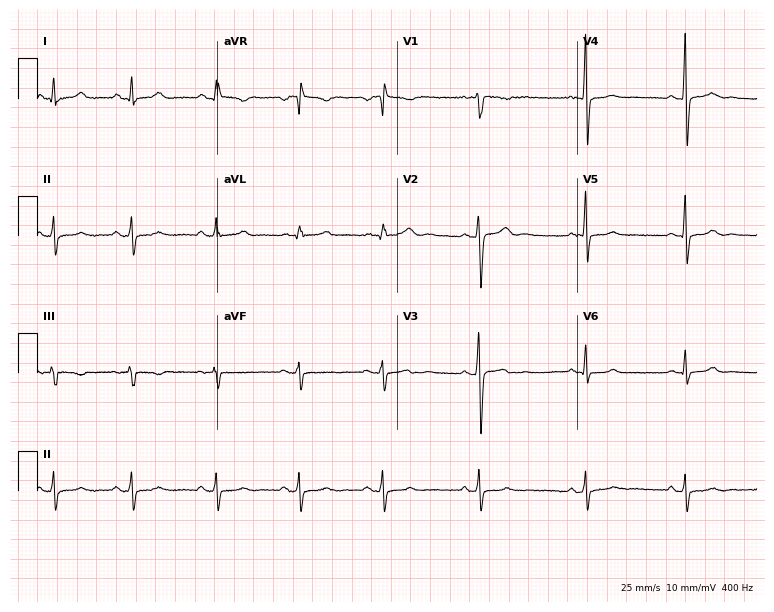
12-lead ECG from a woman, 20 years old. No first-degree AV block, right bundle branch block (RBBB), left bundle branch block (LBBB), sinus bradycardia, atrial fibrillation (AF) or sinus tachycardia recorded for this tracing. Findings outside these six are not listed.